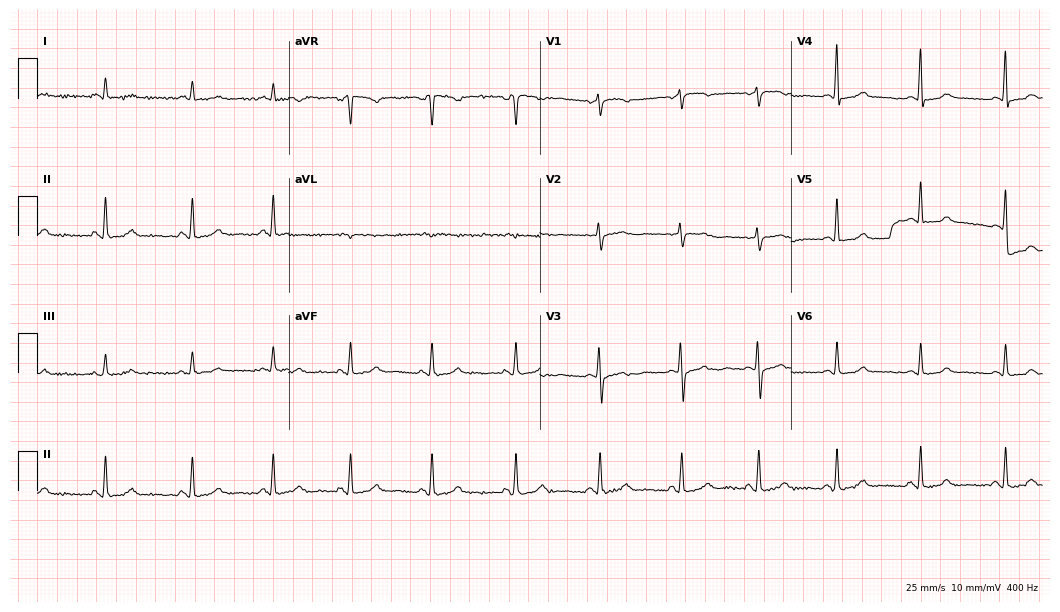
Standard 12-lead ECG recorded from a 51-year-old female patient. Read as a normal ECG.